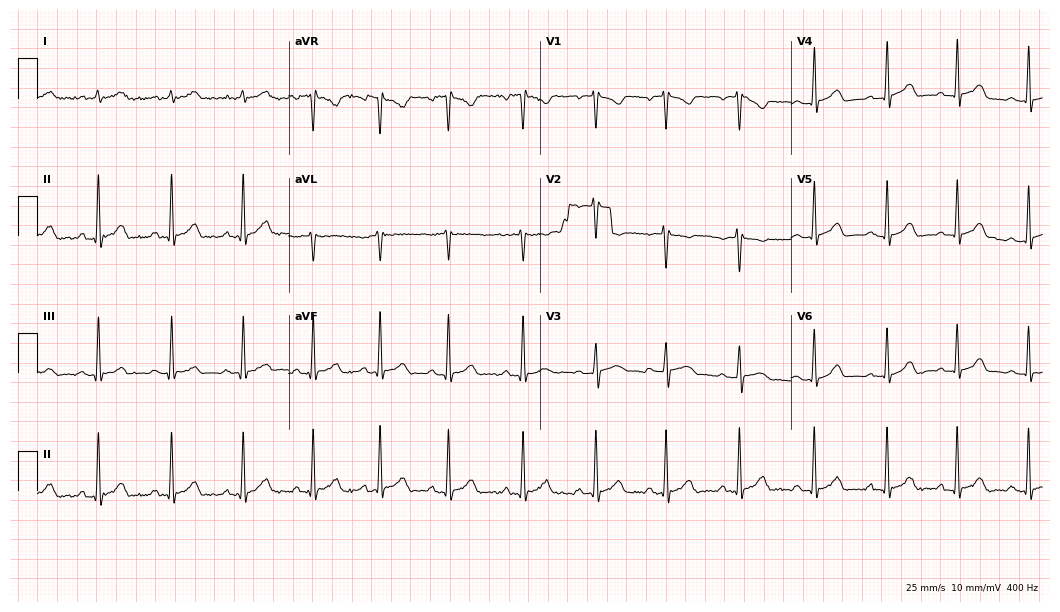
12-lead ECG from a female, 20 years old. Recorded interpretation: within normal limits.